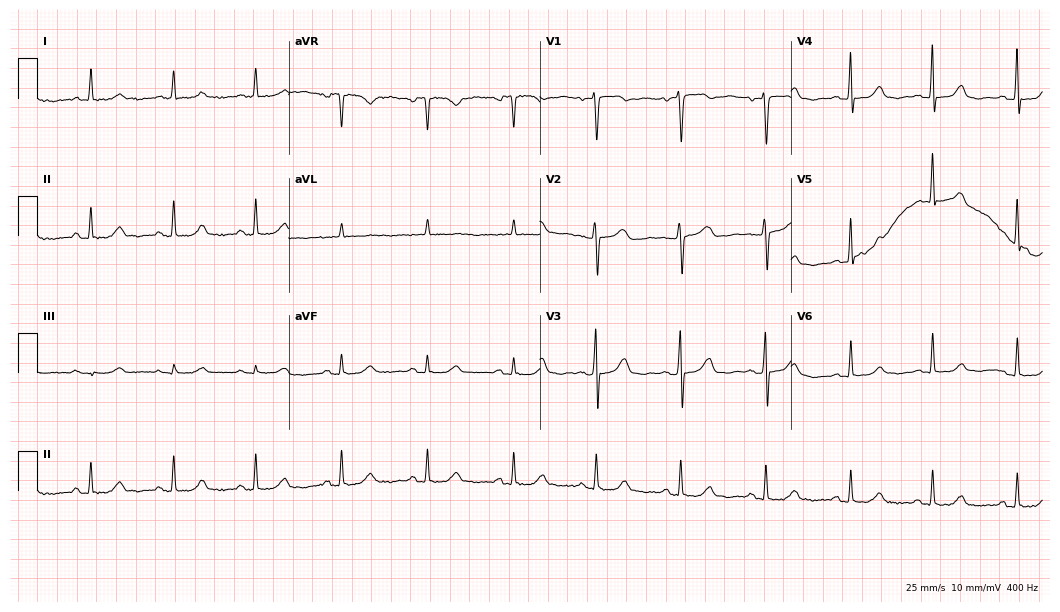
Standard 12-lead ECG recorded from a woman, 66 years old (10.2-second recording at 400 Hz). Read as a normal ECG.